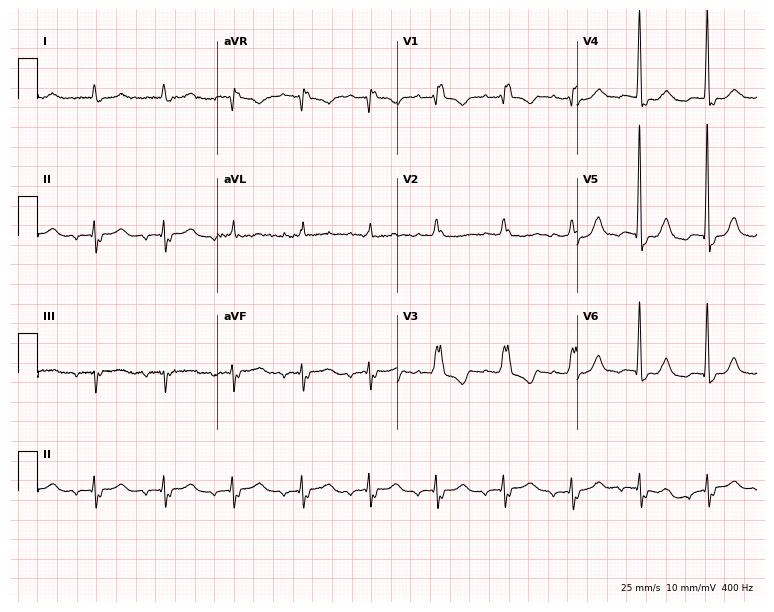
Standard 12-lead ECG recorded from an 81-year-old woman. The tracing shows right bundle branch block.